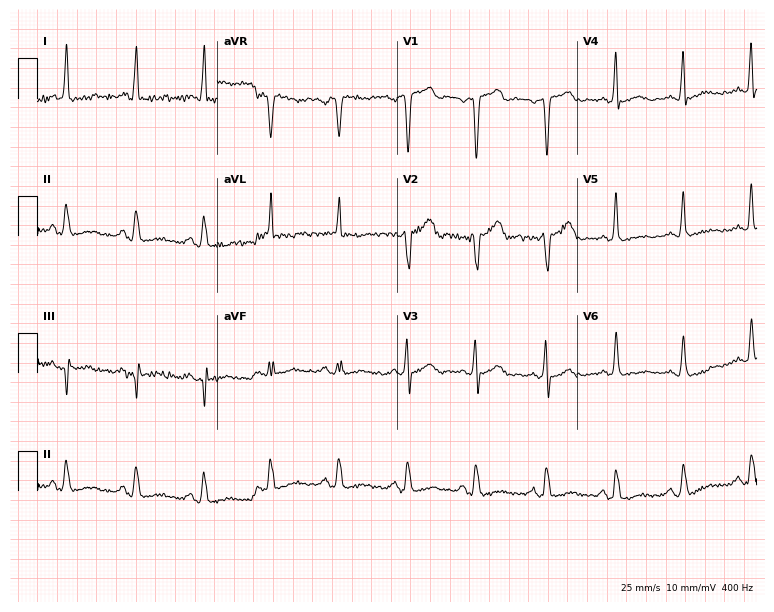
12-lead ECG (7.3-second recording at 400 Hz) from a female, 68 years old. Screened for six findings — first-degree AV block, right bundle branch block, left bundle branch block, sinus bradycardia, atrial fibrillation, sinus tachycardia — none is recorded.